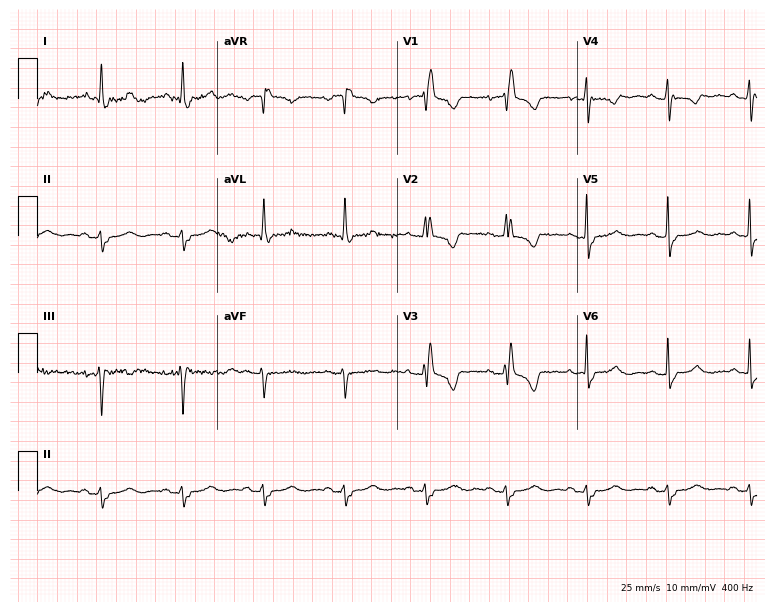
12-lead ECG (7.3-second recording at 400 Hz) from a female, 58 years old. Findings include right bundle branch block.